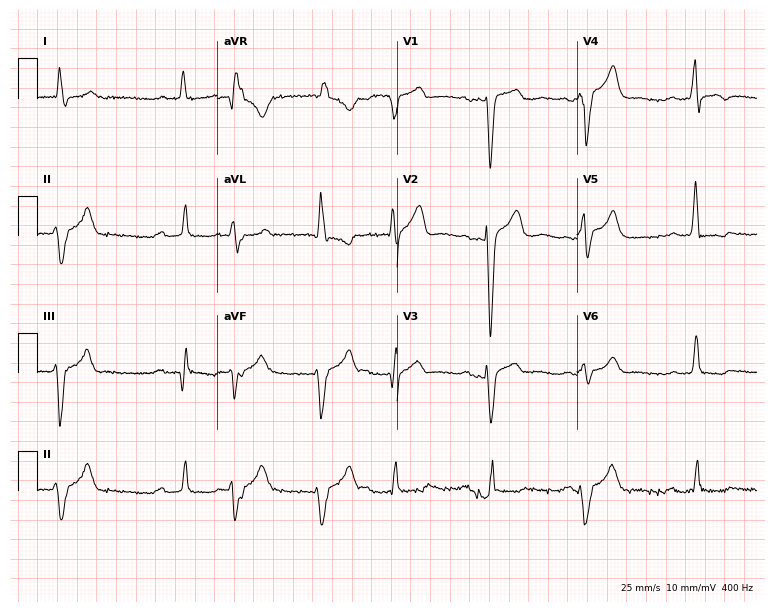
Electrocardiogram, a male, 79 years old. Of the six screened findings (first-degree AV block, right bundle branch block, left bundle branch block, sinus bradycardia, atrial fibrillation, sinus tachycardia), none is recorded. Only these six findings were labelled.